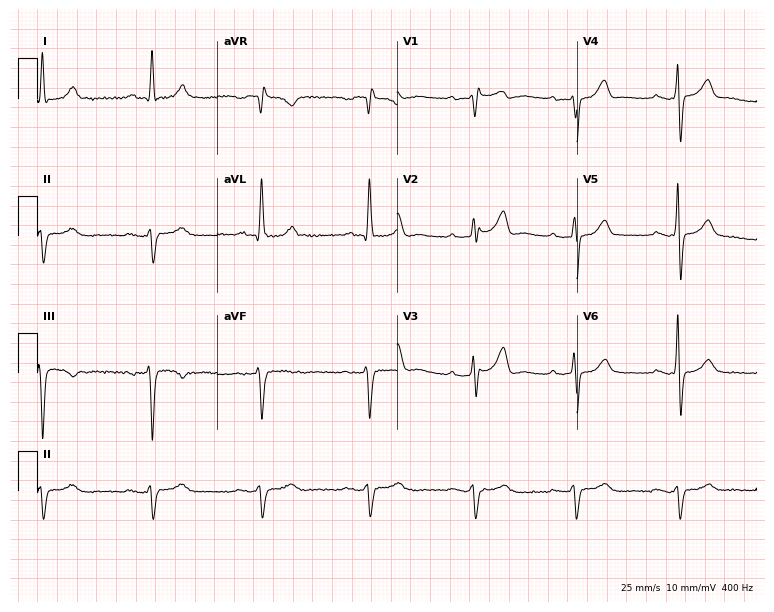
Resting 12-lead electrocardiogram. Patient: a male, 76 years old. The tracing shows first-degree AV block, right bundle branch block (RBBB).